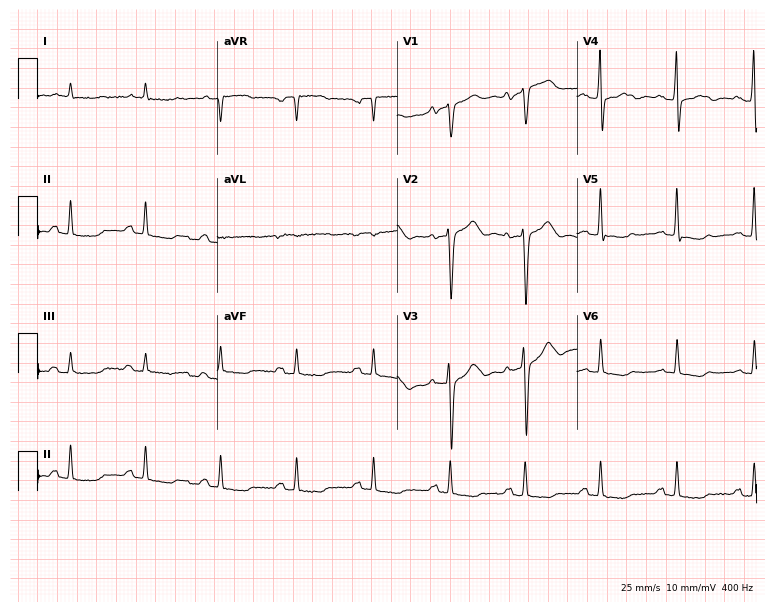
12-lead ECG from a man, 76 years old (7.3-second recording at 400 Hz). No first-degree AV block, right bundle branch block, left bundle branch block, sinus bradycardia, atrial fibrillation or sinus tachycardia recorded for this tracing. Findings outside these six are not listed.